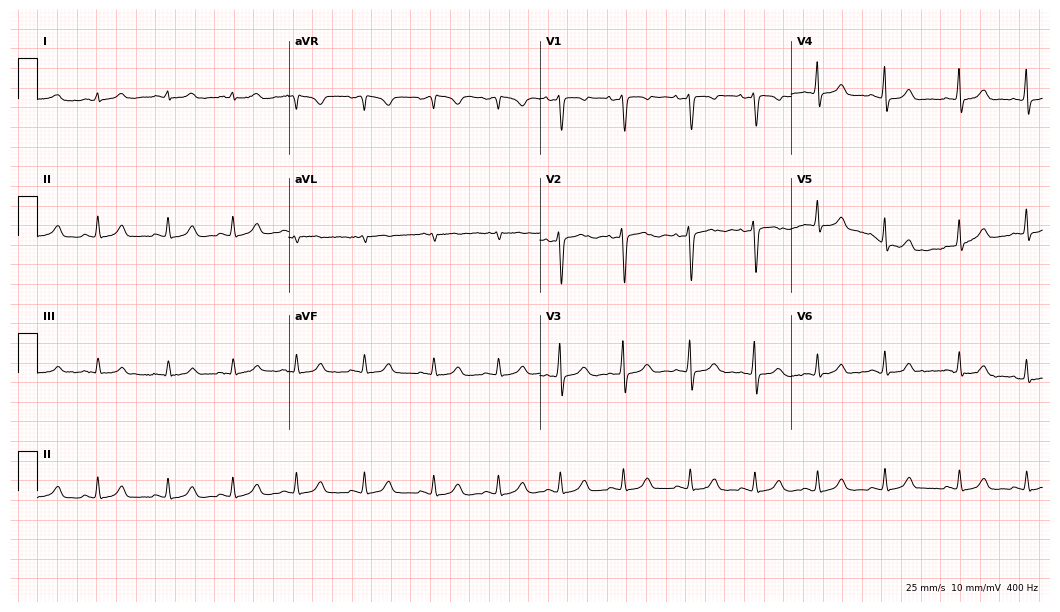
12-lead ECG from a 20-year-old woman. No first-degree AV block, right bundle branch block (RBBB), left bundle branch block (LBBB), sinus bradycardia, atrial fibrillation (AF) or sinus tachycardia recorded for this tracing. Only these six findings were labelled.